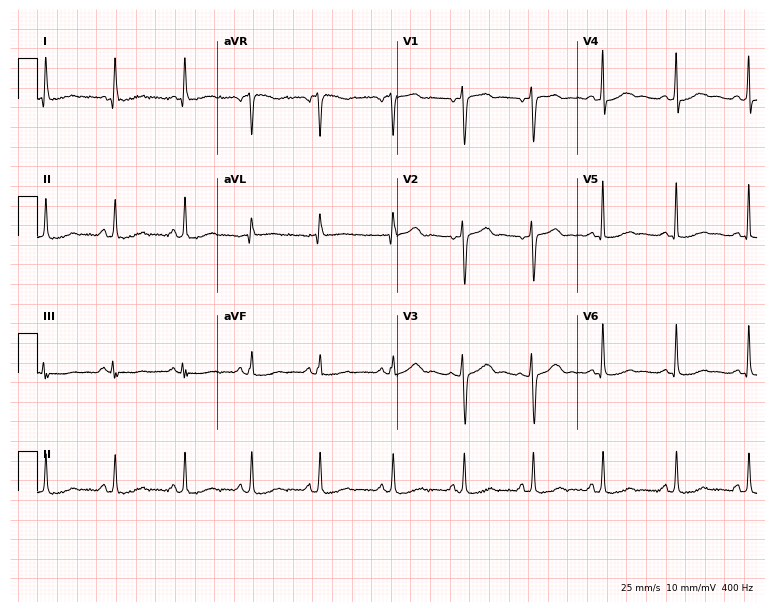
Standard 12-lead ECG recorded from a 51-year-old woman. None of these six findings is recorded: first-degree AV block, right bundle branch block, left bundle branch block, sinus bradycardia, atrial fibrillation, sinus tachycardia.